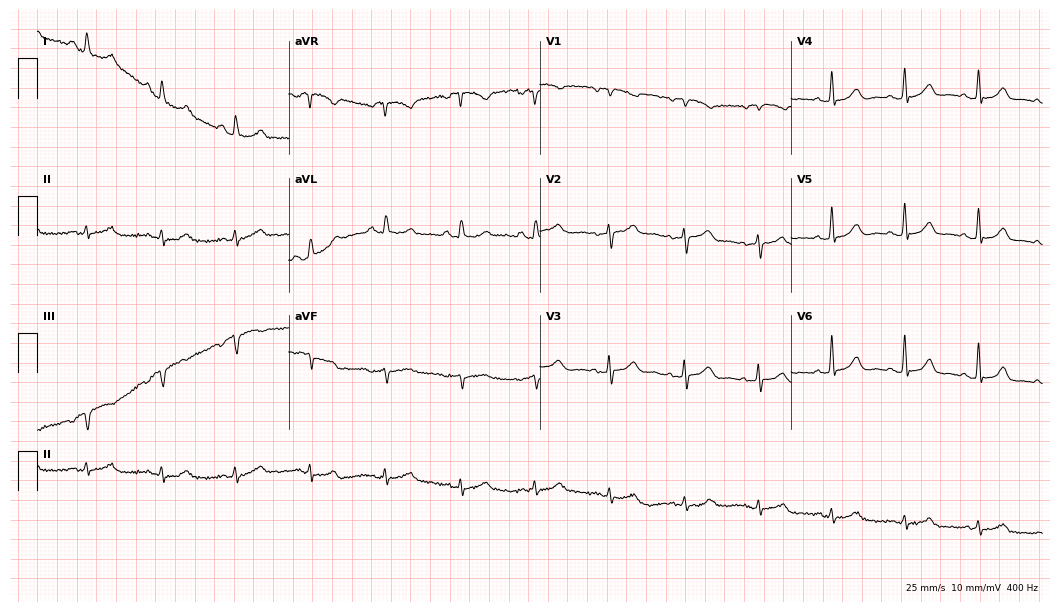
12-lead ECG from a 60-year-old female. Recorded interpretation: within normal limits.